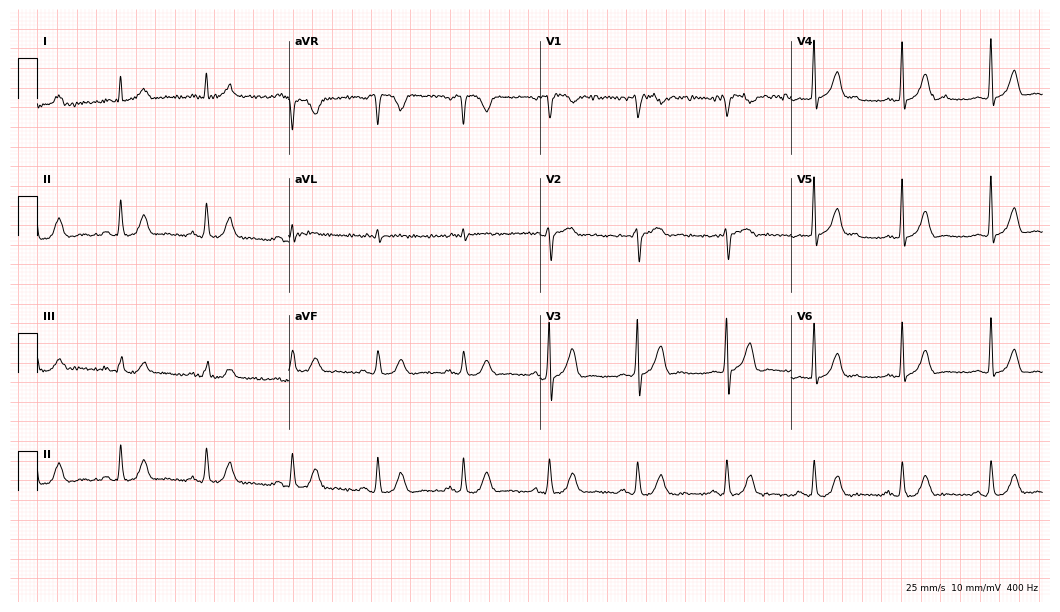
Electrocardiogram, a male, 61 years old. Of the six screened findings (first-degree AV block, right bundle branch block (RBBB), left bundle branch block (LBBB), sinus bradycardia, atrial fibrillation (AF), sinus tachycardia), none is recorded. Other findings, if any, are not listed.